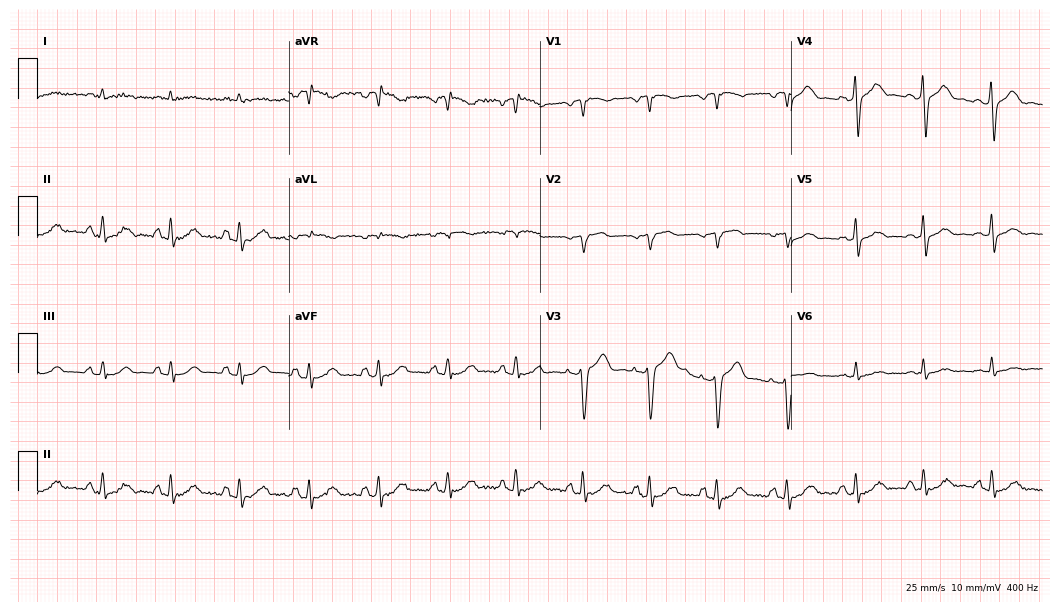
Electrocardiogram, a male patient, 62 years old. Of the six screened findings (first-degree AV block, right bundle branch block, left bundle branch block, sinus bradycardia, atrial fibrillation, sinus tachycardia), none is recorded. Only these six findings were labelled.